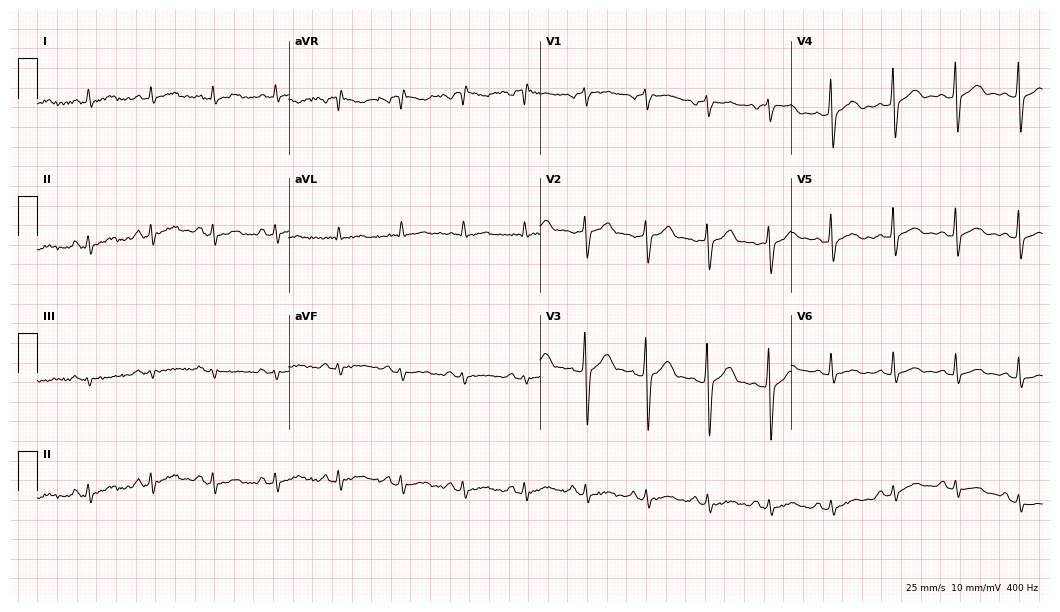
12-lead ECG (10.2-second recording at 400 Hz) from a male patient, 55 years old. Labelled as a normal ECG.